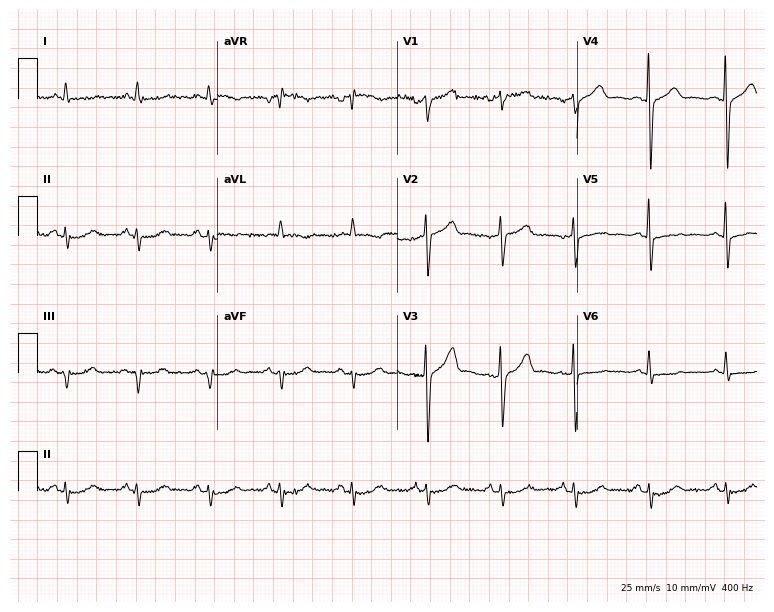
12-lead ECG (7.3-second recording at 400 Hz) from a male patient, 72 years old. Screened for six findings — first-degree AV block, right bundle branch block, left bundle branch block, sinus bradycardia, atrial fibrillation, sinus tachycardia — none is recorded.